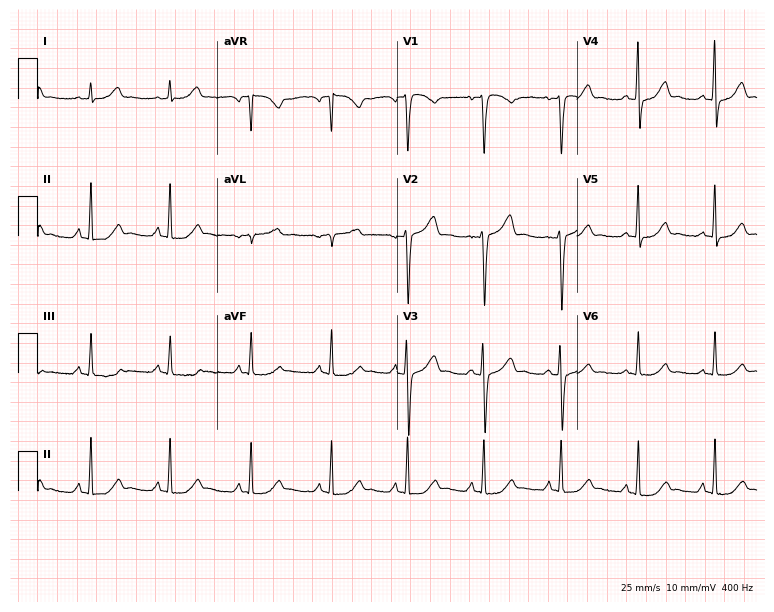
12-lead ECG from a 36-year-old female (7.3-second recording at 400 Hz). Recorded interpretation: within normal limits.